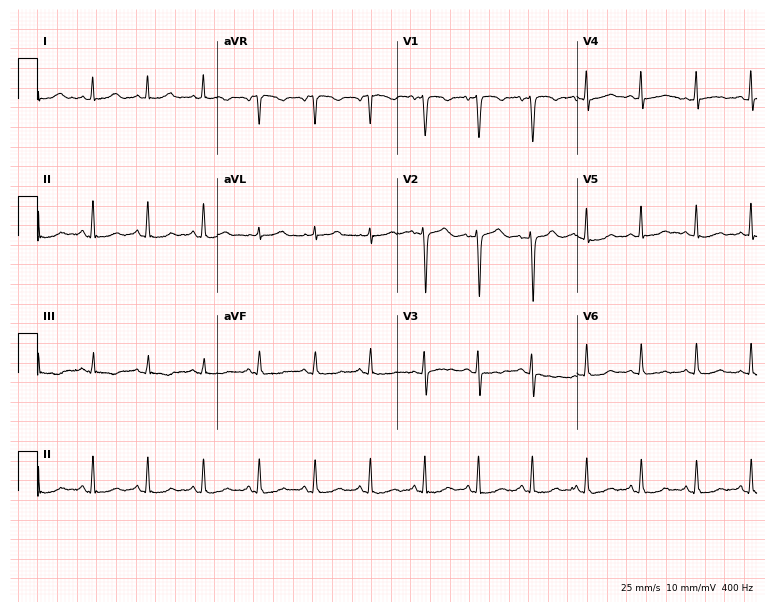
Electrocardiogram, a female patient, 38 years old. Interpretation includes sinus tachycardia (a sinus rate of 100 beats per minute or more).